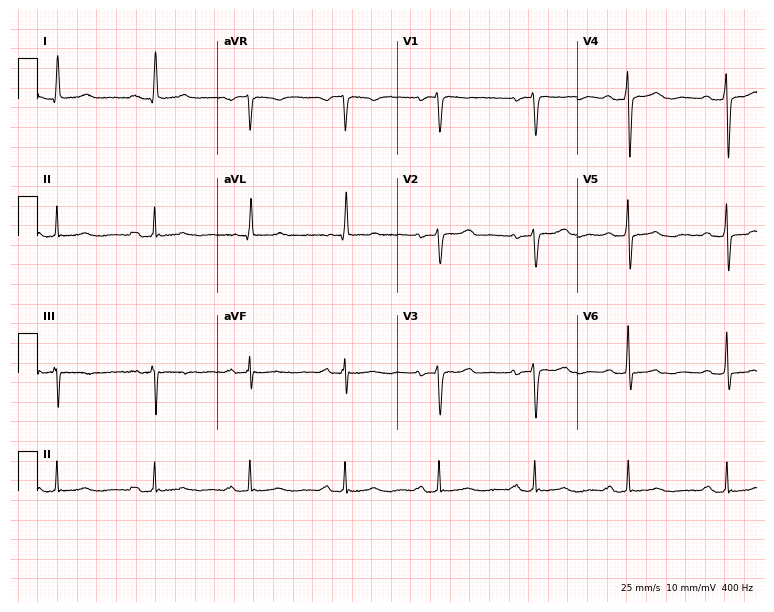
Resting 12-lead electrocardiogram (7.3-second recording at 400 Hz). Patient: a 52-year-old woman. The tracing shows first-degree AV block.